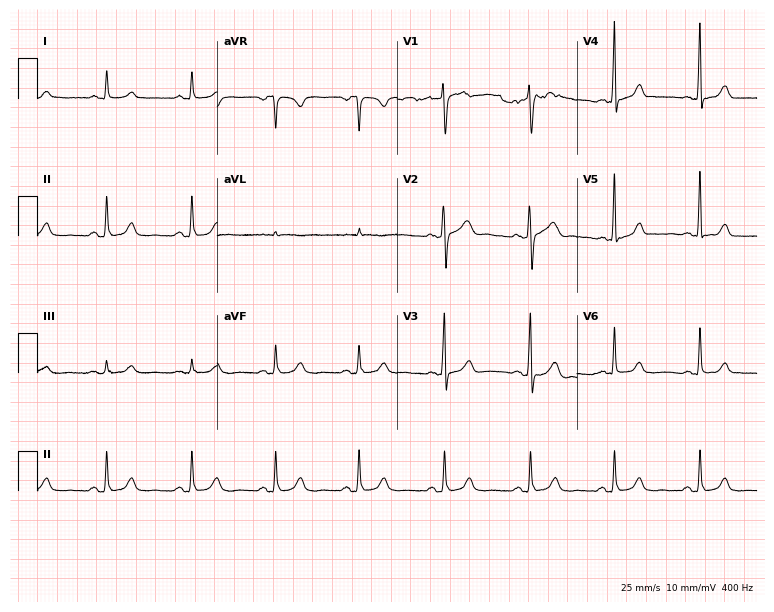
12-lead ECG from a 36-year-old female patient. Recorded interpretation: within normal limits.